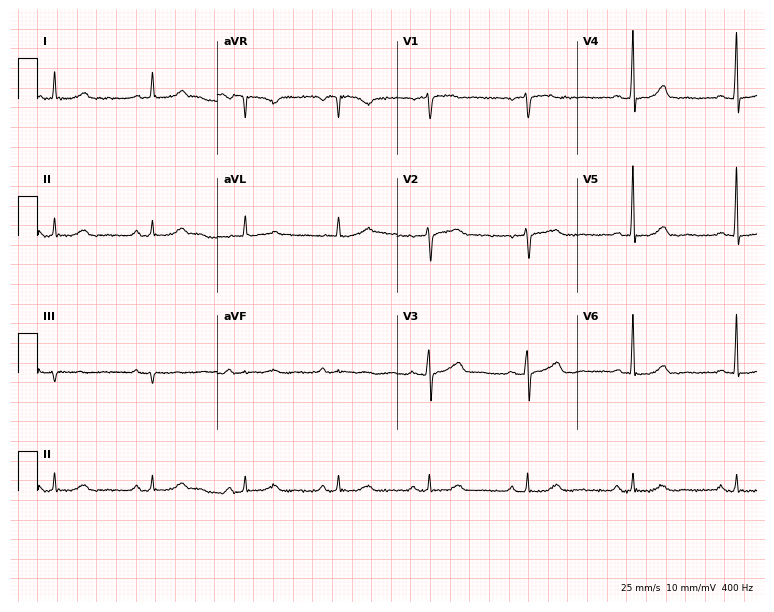
Electrocardiogram, a 66-year-old female patient. Overall reading on record: normal ECG.